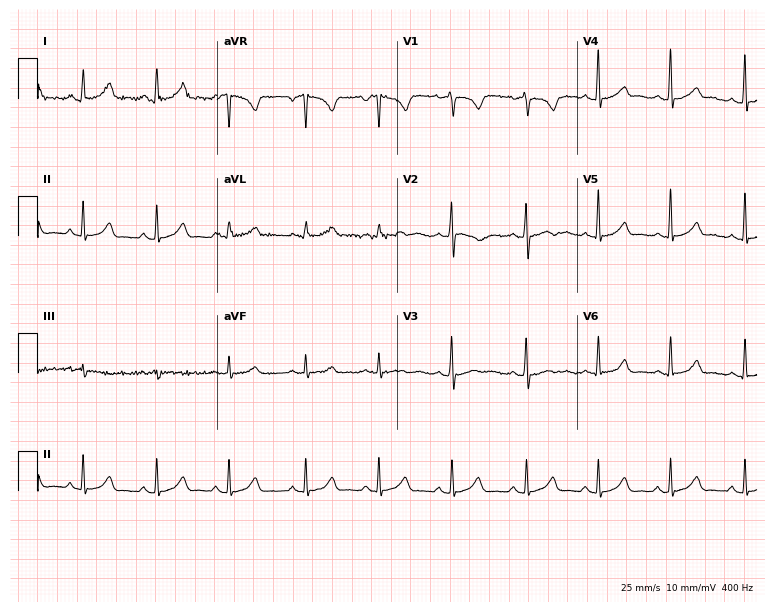
Standard 12-lead ECG recorded from a woman, 21 years old (7.3-second recording at 400 Hz). None of these six findings is recorded: first-degree AV block, right bundle branch block (RBBB), left bundle branch block (LBBB), sinus bradycardia, atrial fibrillation (AF), sinus tachycardia.